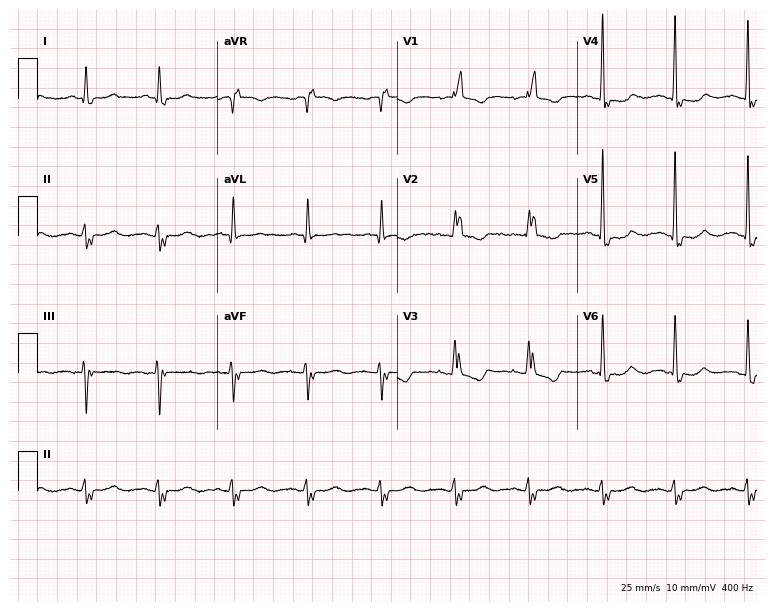
Standard 12-lead ECG recorded from a 74-year-old male. The tracing shows right bundle branch block (RBBB).